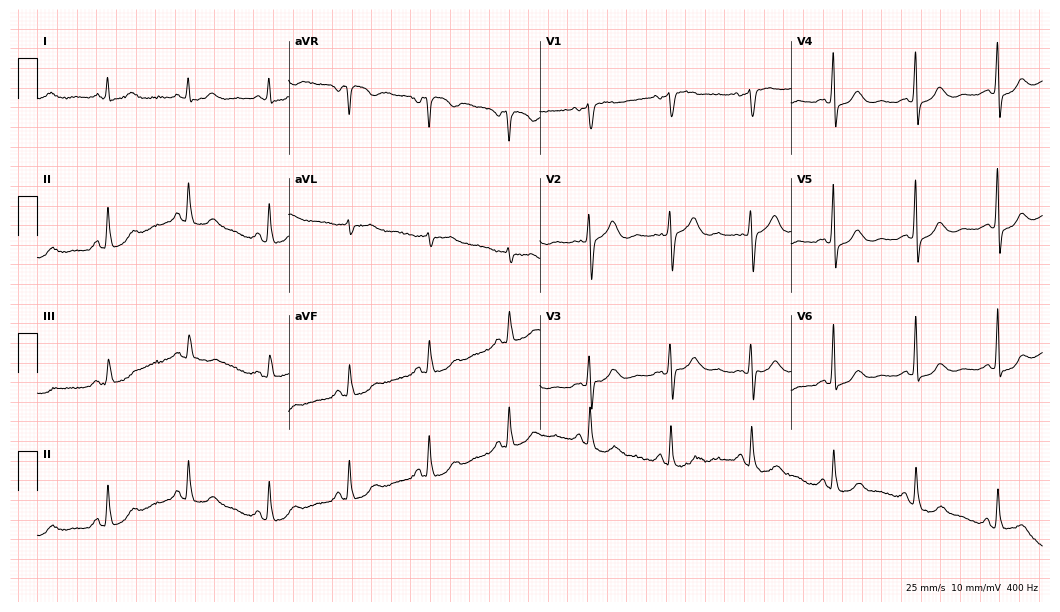
ECG — a 71-year-old female. Screened for six findings — first-degree AV block, right bundle branch block (RBBB), left bundle branch block (LBBB), sinus bradycardia, atrial fibrillation (AF), sinus tachycardia — none is recorded.